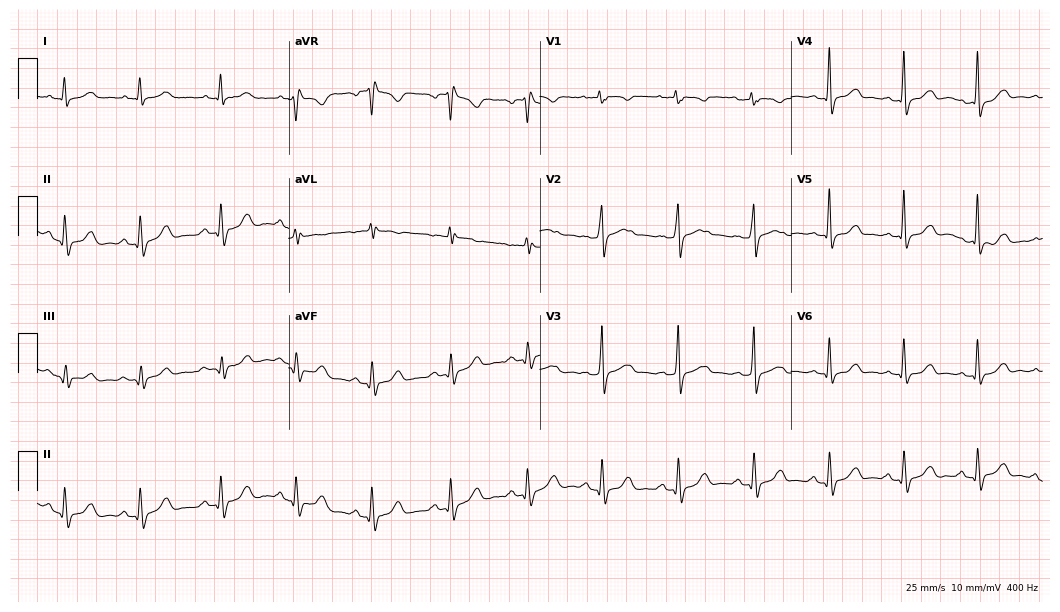
12-lead ECG from a woman, 53 years old. Screened for six findings — first-degree AV block, right bundle branch block, left bundle branch block, sinus bradycardia, atrial fibrillation, sinus tachycardia — none is recorded. Only these six findings were labelled.